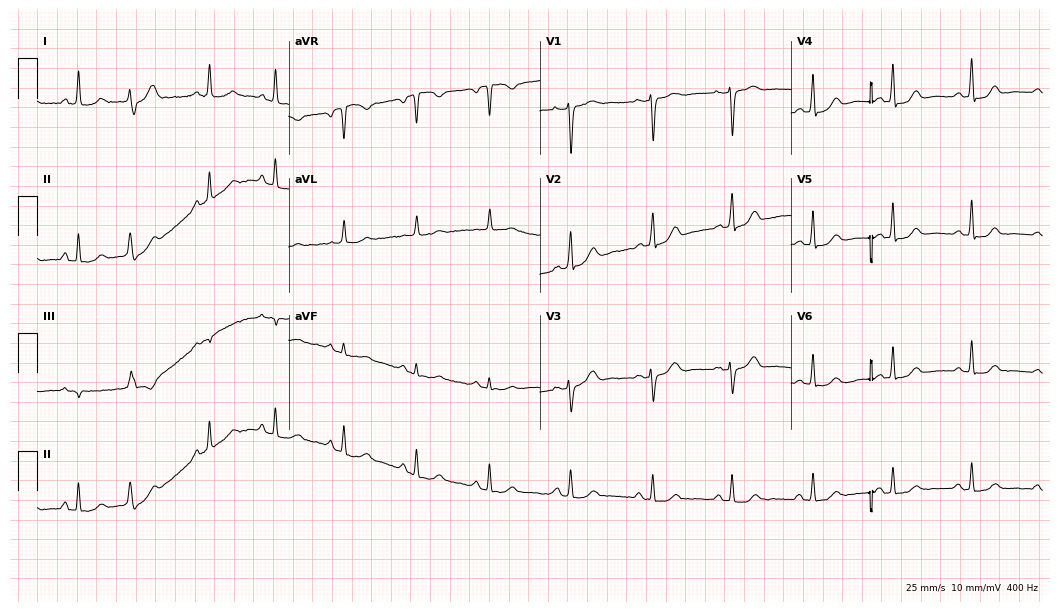
Resting 12-lead electrocardiogram (10.2-second recording at 400 Hz). Patient: a 66-year-old female. None of these six findings is recorded: first-degree AV block, right bundle branch block, left bundle branch block, sinus bradycardia, atrial fibrillation, sinus tachycardia. Findings outside these six are not listed.